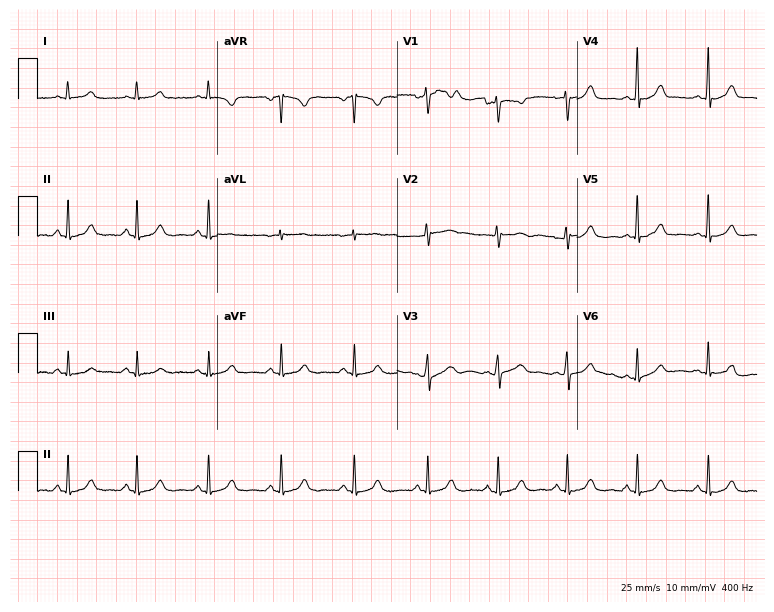
ECG — a 41-year-old female. Screened for six findings — first-degree AV block, right bundle branch block, left bundle branch block, sinus bradycardia, atrial fibrillation, sinus tachycardia — none is recorded. Other findings, if any, are not listed.